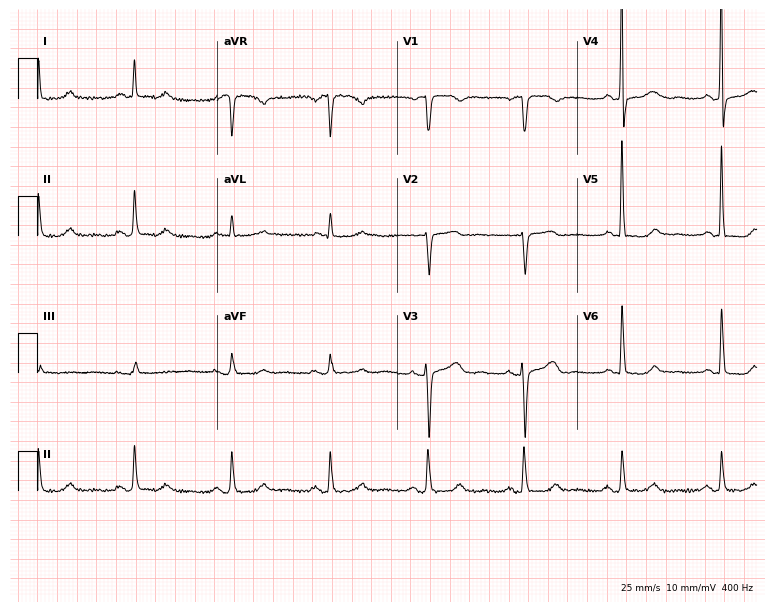
12-lead ECG (7.3-second recording at 400 Hz) from a woman, 73 years old. Screened for six findings — first-degree AV block, right bundle branch block, left bundle branch block, sinus bradycardia, atrial fibrillation, sinus tachycardia — none is recorded.